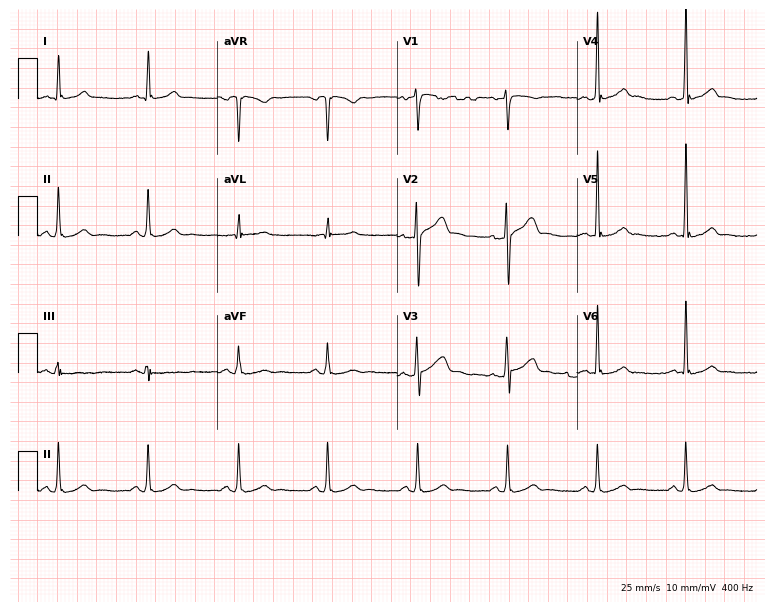
12-lead ECG from a man, 46 years old (7.3-second recording at 400 Hz). Recorded interpretation: within normal limits.